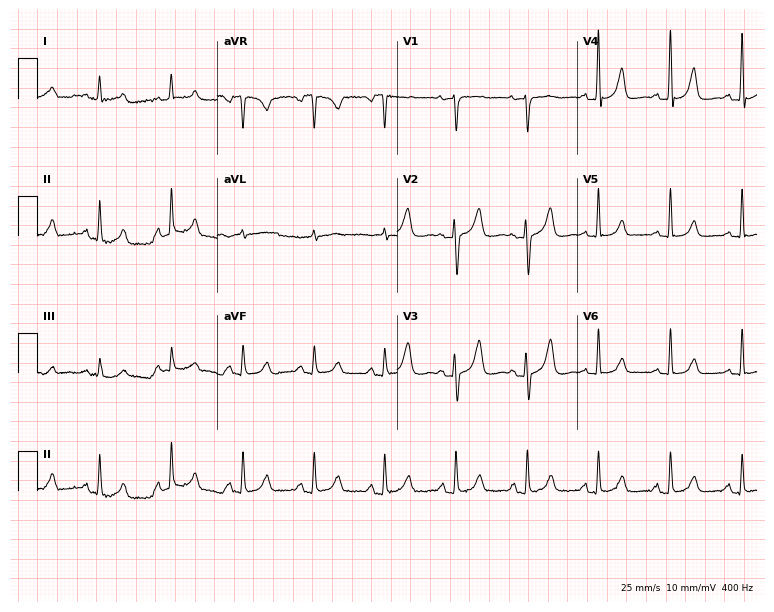
12-lead ECG from a 78-year-old female. Labelled as a normal ECG.